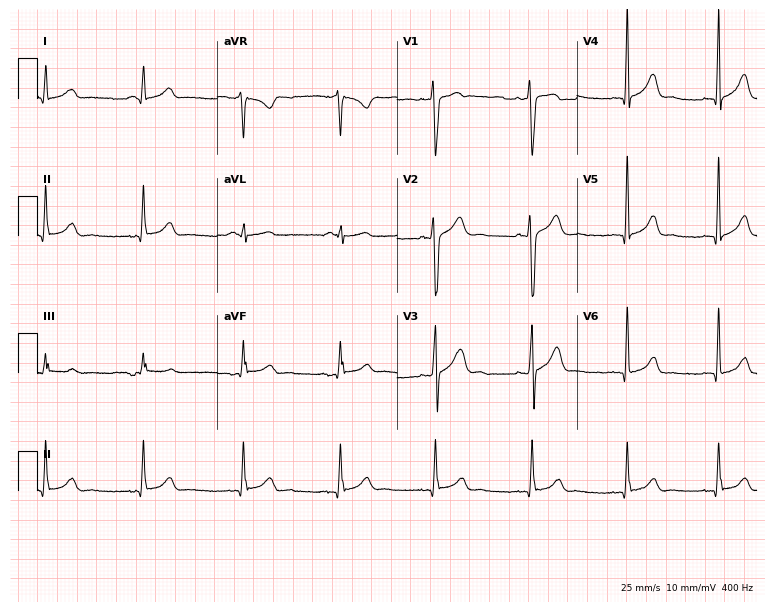
Standard 12-lead ECG recorded from a 20-year-old male patient (7.3-second recording at 400 Hz). Read as a normal ECG.